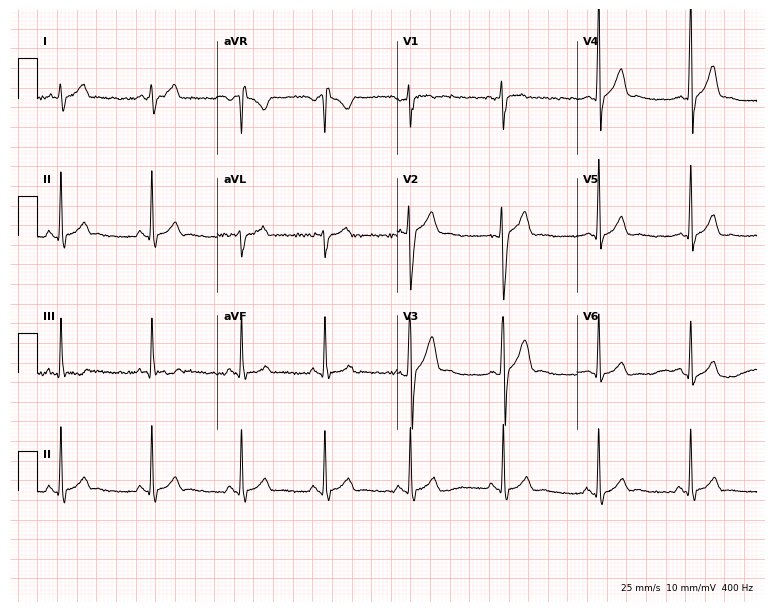
Resting 12-lead electrocardiogram (7.3-second recording at 400 Hz). Patient: a male, 17 years old. Read as a normal ECG.